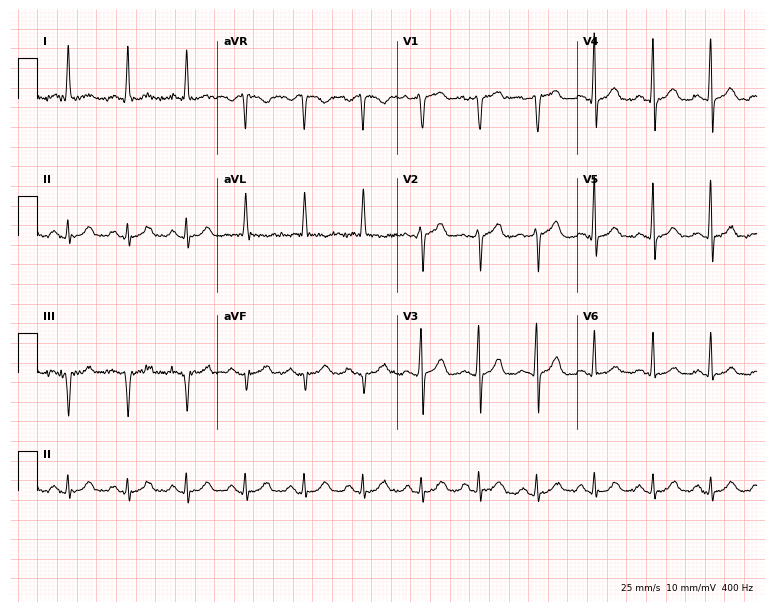
12-lead ECG from a female patient, 71 years old. No first-degree AV block, right bundle branch block (RBBB), left bundle branch block (LBBB), sinus bradycardia, atrial fibrillation (AF) or sinus tachycardia recorded for this tracing. Other findings, if any, are not listed.